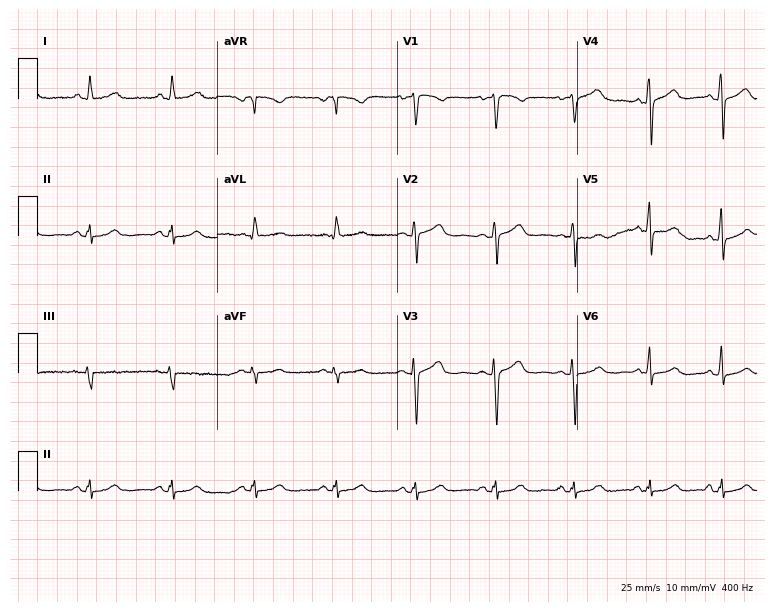
ECG (7.3-second recording at 400 Hz) — a 34-year-old female patient. Labelled as a normal ECG.